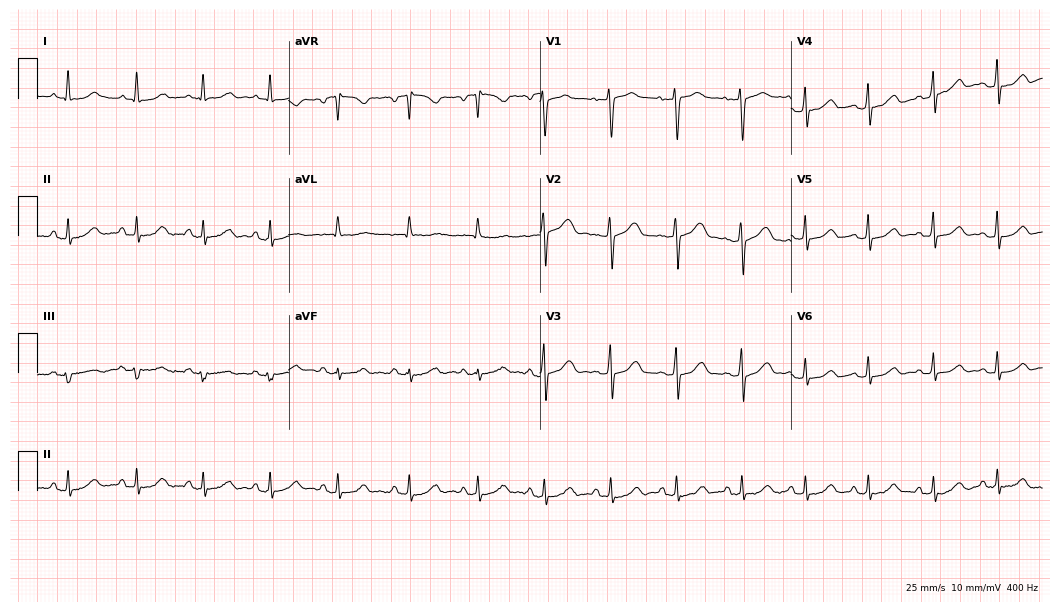
Electrocardiogram (10.2-second recording at 400 Hz), a 55-year-old woman. Overall reading on record: normal ECG.